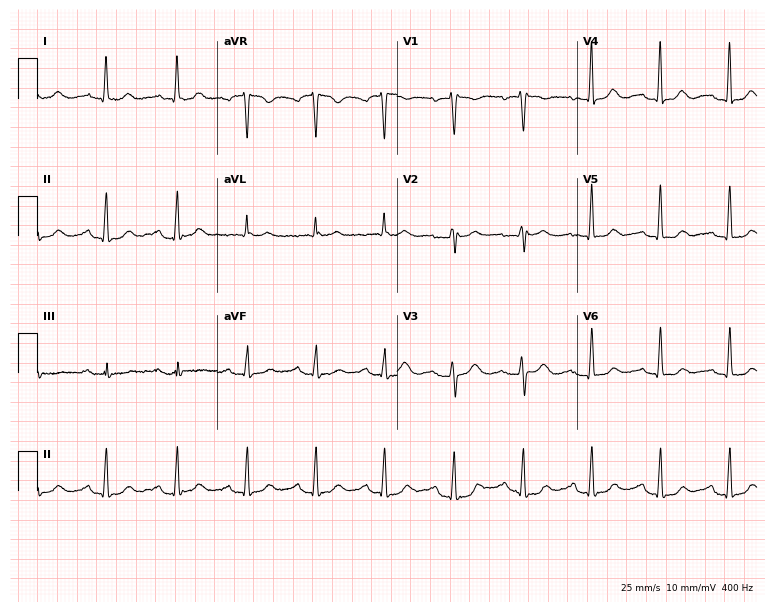
Electrocardiogram, a female patient, 60 years old. Overall reading on record: normal ECG.